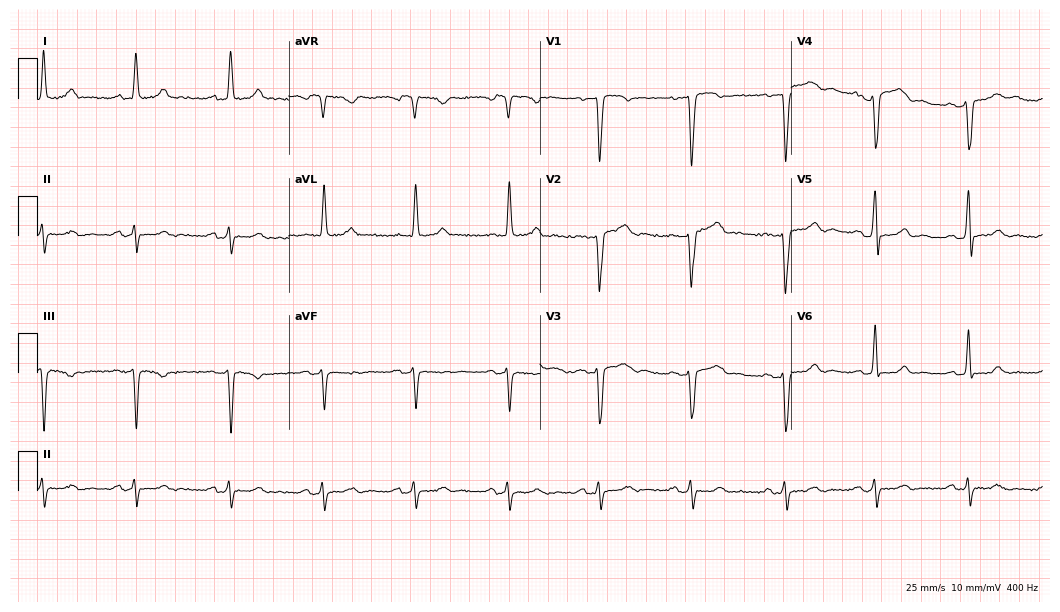
Electrocardiogram, a 69-year-old man. Of the six screened findings (first-degree AV block, right bundle branch block, left bundle branch block, sinus bradycardia, atrial fibrillation, sinus tachycardia), none is recorded. Only these six findings were labelled.